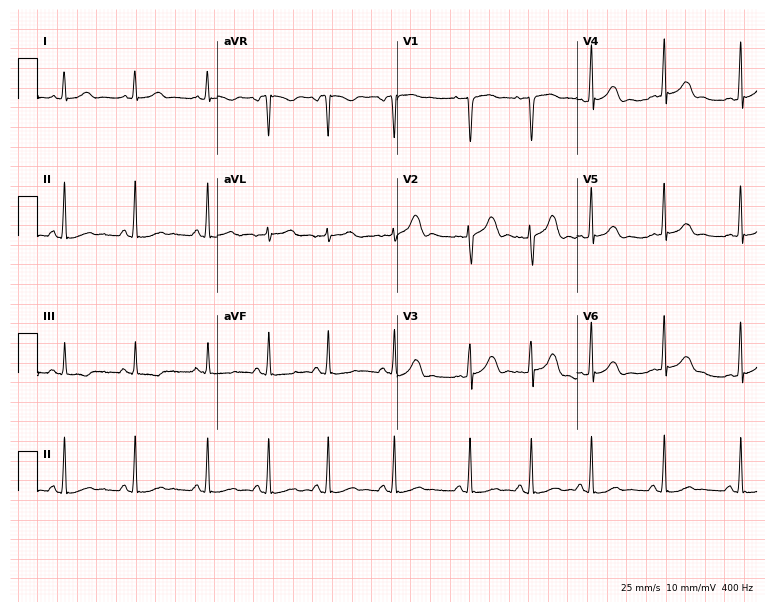
12-lead ECG from a 19-year-old woman. No first-degree AV block, right bundle branch block, left bundle branch block, sinus bradycardia, atrial fibrillation or sinus tachycardia recorded for this tracing.